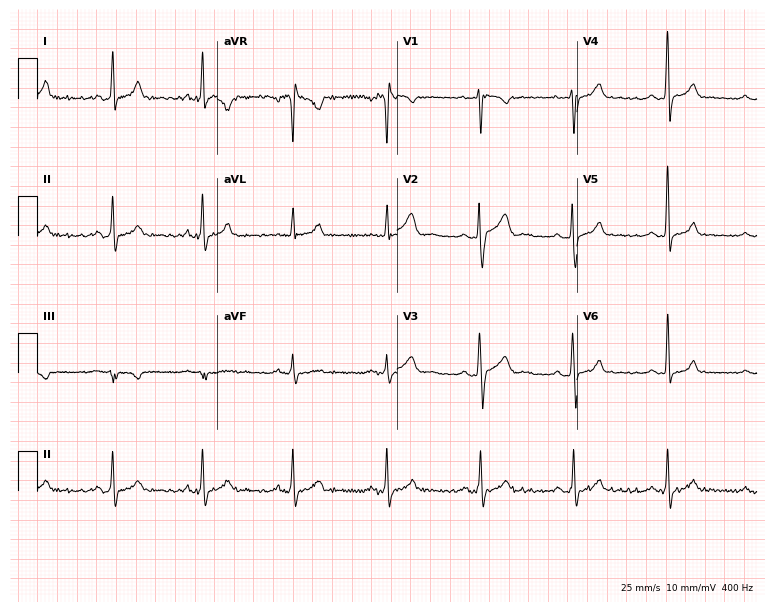
Standard 12-lead ECG recorded from a 34-year-old male patient (7.3-second recording at 400 Hz). Read as a normal ECG.